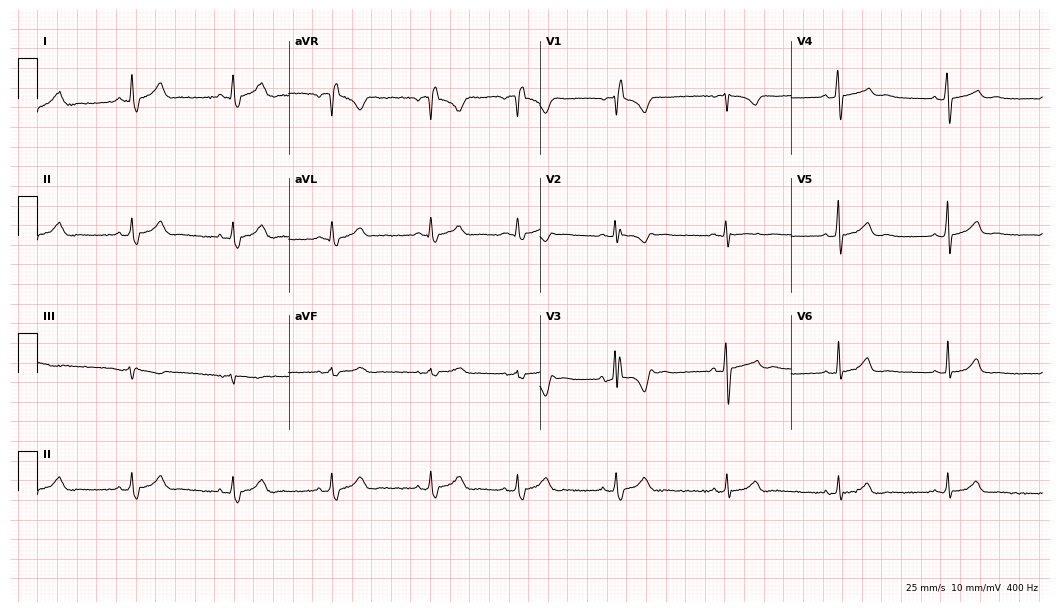
12-lead ECG from a female, 39 years old. No first-degree AV block, right bundle branch block, left bundle branch block, sinus bradycardia, atrial fibrillation or sinus tachycardia recorded for this tracing. Findings outside these six are not listed.